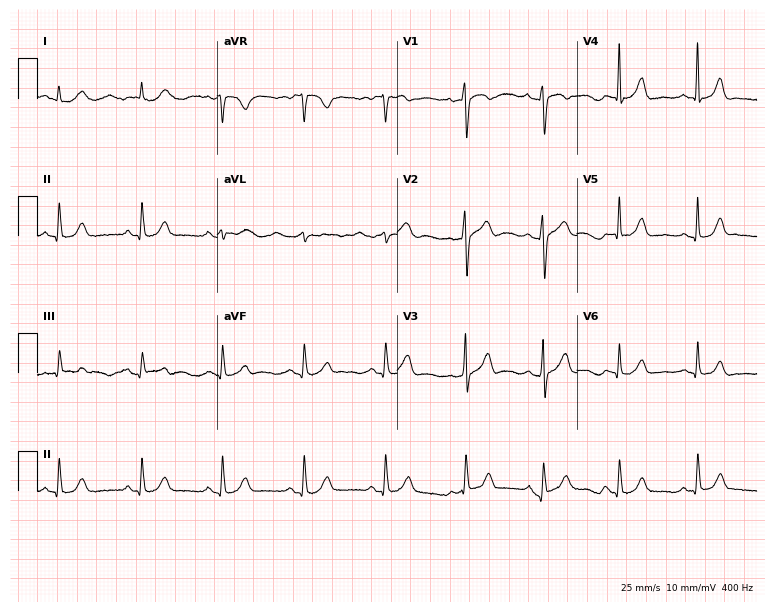
12-lead ECG from a 33-year-old female. Screened for six findings — first-degree AV block, right bundle branch block, left bundle branch block, sinus bradycardia, atrial fibrillation, sinus tachycardia — none is recorded.